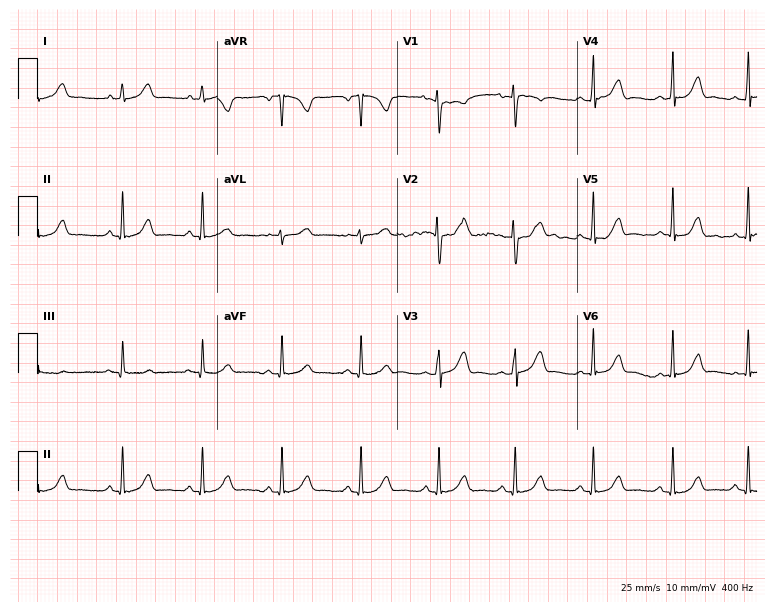
Resting 12-lead electrocardiogram (7.3-second recording at 400 Hz). Patient: a 34-year-old female. None of these six findings is recorded: first-degree AV block, right bundle branch block, left bundle branch block, sinus bradycardia, atrial fibrillation, sinus tachycardia.